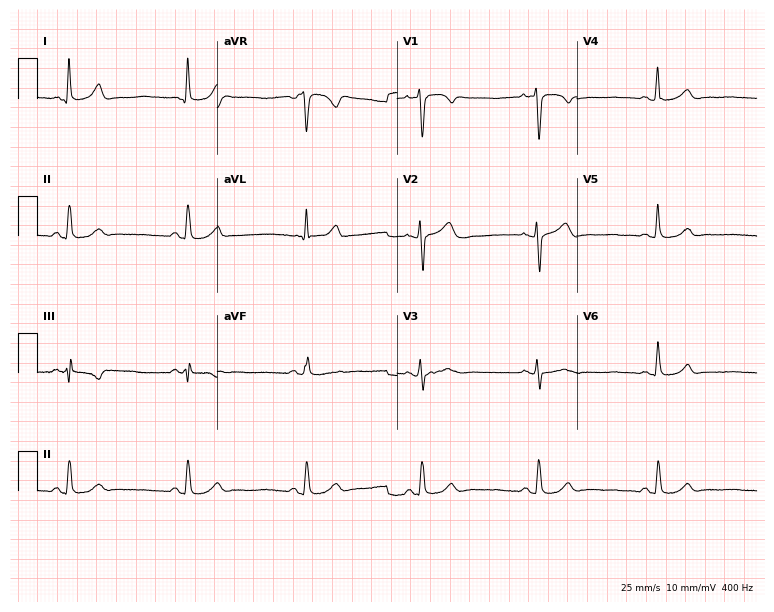
Electrocardiogram (7.3-second recording at 400 Hz), a 63-year-old woman. Interpretation includes sinus bradycardia (a sinus rate of 50 beats per minute or less).